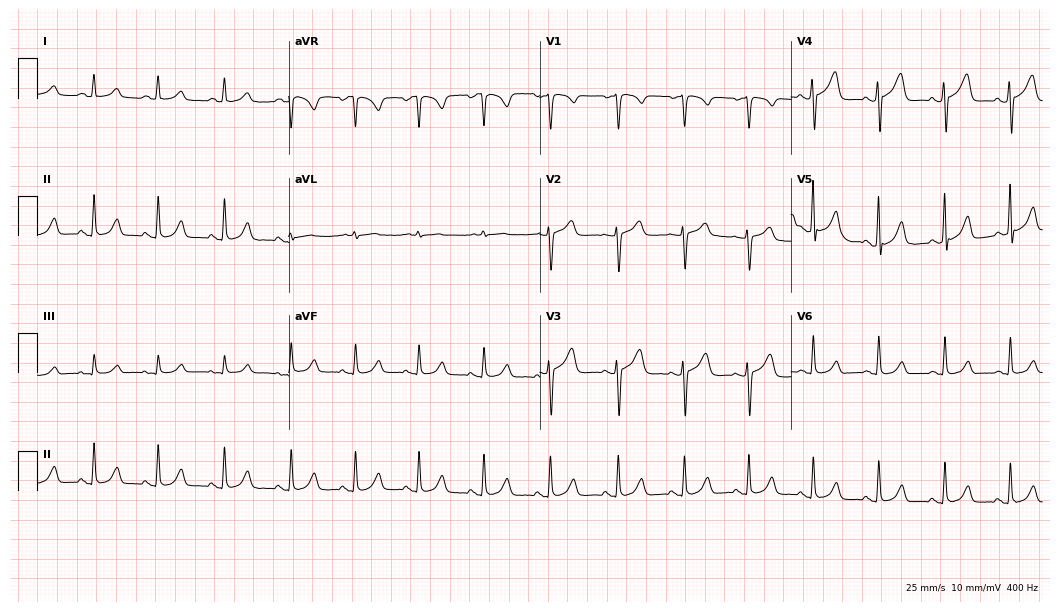
Resting 12-lead electrocardiogram (10.2-second recording at 400 Hz). Patient: a female, 45 years old. Read as a normal ECG.